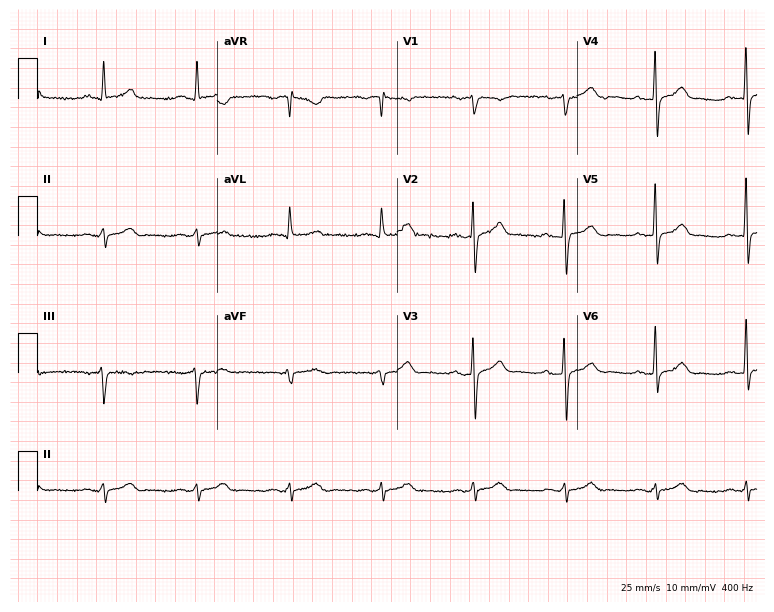
Resting 12-lead electrocardiogram. Patient: a 65-year-old woman. Read as a normal ECG.